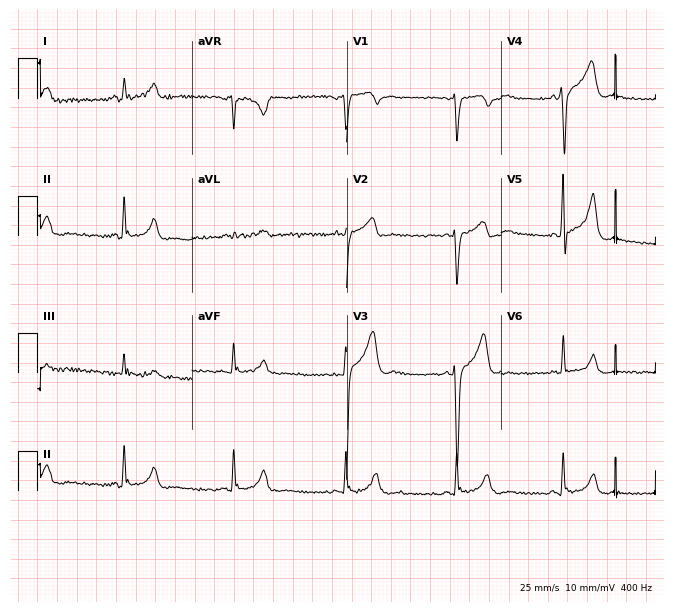
Standard 12-lead ECG recorded from a 43-year-old male patient. None of these six findings is recorded: first-degree AV block, right bundle branch block (RBBB), left bundle branch block (LBBB), sinus bradycardia, atrial fibrillation (AF), sinus tachycardia.